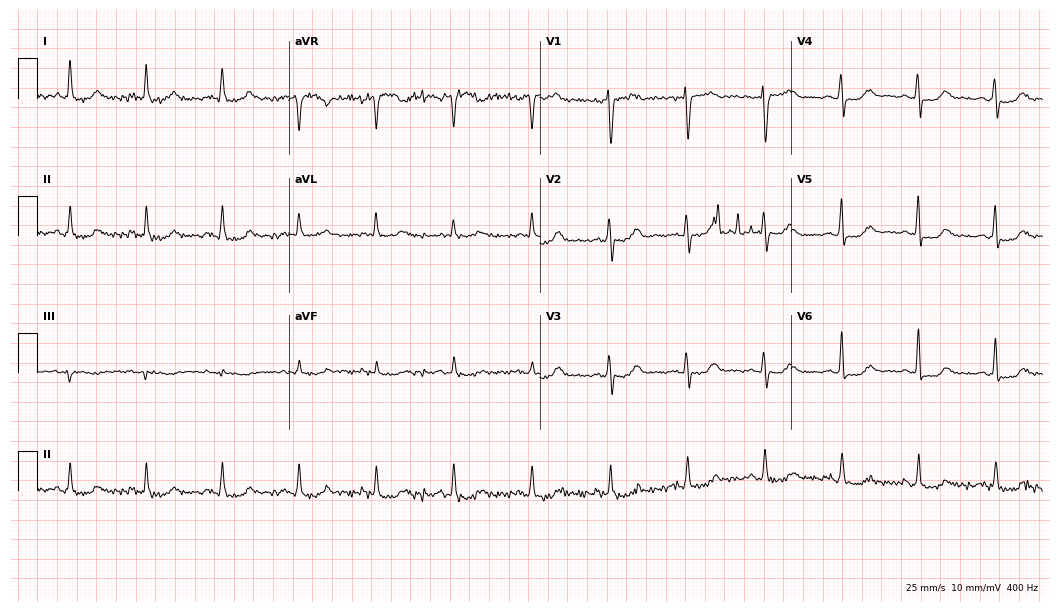
12-lead ECG (10.2-second recording at 400 Hz) from a 66-year-old woman. Labelled as a normal ECG.